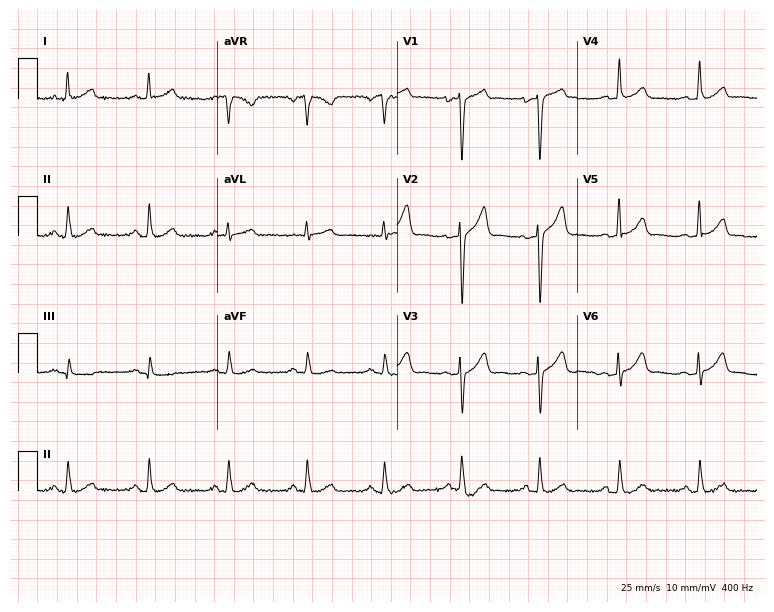
12-lead ECG from a 54-year-old man (7.3-second recording at 400 Hz). Recorded interpretation: within normal limits.